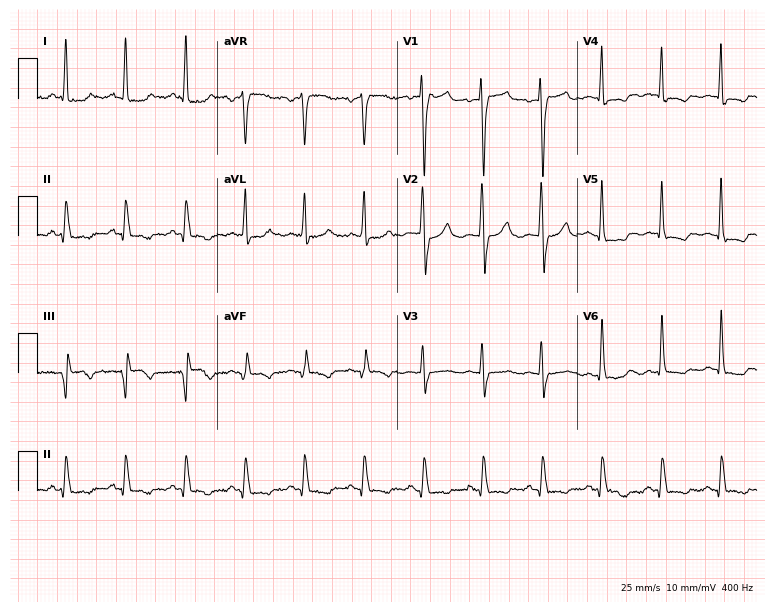
Electrocardiogram, a woman, 61 years old. Of the six screened findings (first-degree AV block, right bundle branch block, left bundle branch block, sinus bradycardia, atrial fibrillation, sinus tachycardia), none is recorded. Other findings, if any, are not listed.